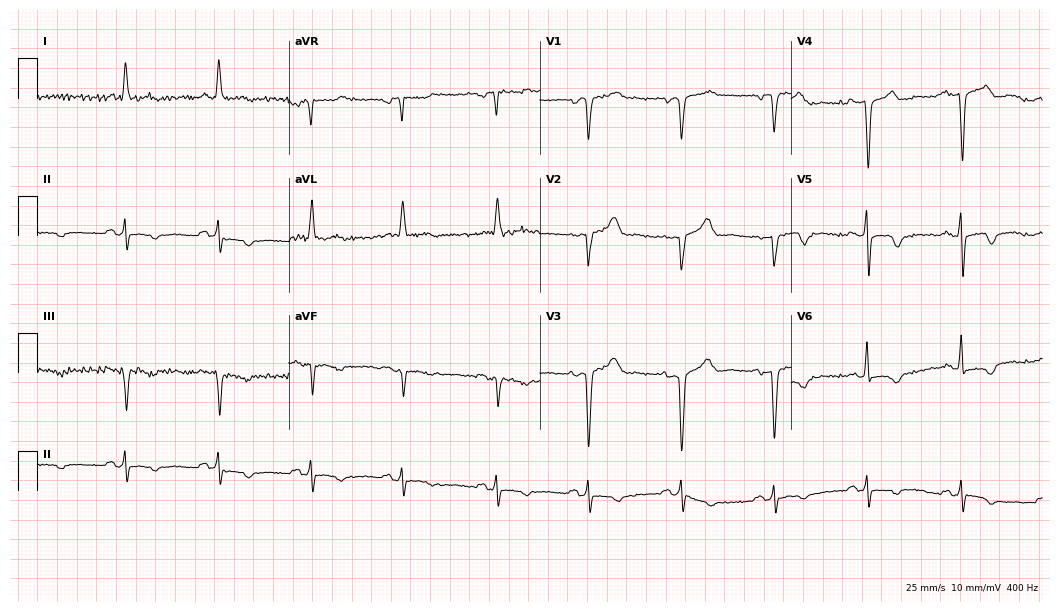
12-lead ECG from a man, 79 years old. Screened for six findings — first-degree AV block, right bundle branch block, left bundle branch block, sinus bradycardia, atrial fibrillation, sinus tachycardia — none is recorded.